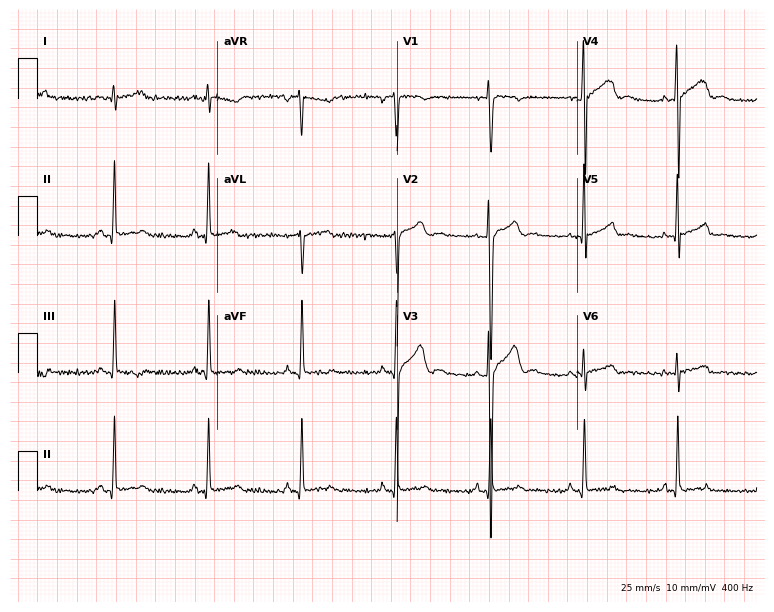
12-lead ECG (7.3-second recording at 400 Hz) from a male patient, 17 years old. Screened for six findings — first-degree AV block, right bundle branch block, left bundle branch block, sinus bradycardia, atrial fibrillation, sinus tachycardia — none is recorded.